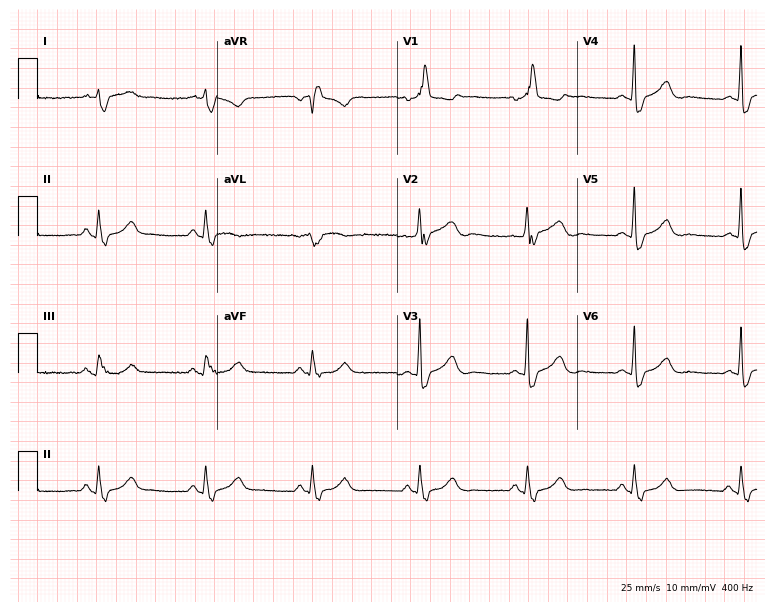
Standard 12-lead ECG recorded from a man, 81 years old (7.3-second recording at 400 Hz). The tracing shows right bundle branch block.